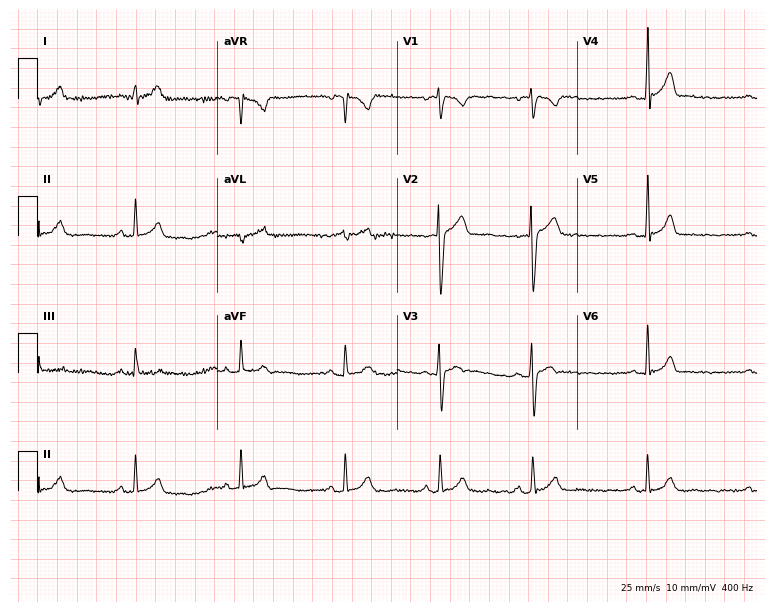
ECG (7.3-second recording at 400 Hz) — a 21-year-old man. Screened for six findings — first-degree AV block, right bundle branch block, left bundle branch block, sinus bradycardia, atrial fibrillation, sinus tachycardia — none is recorded.